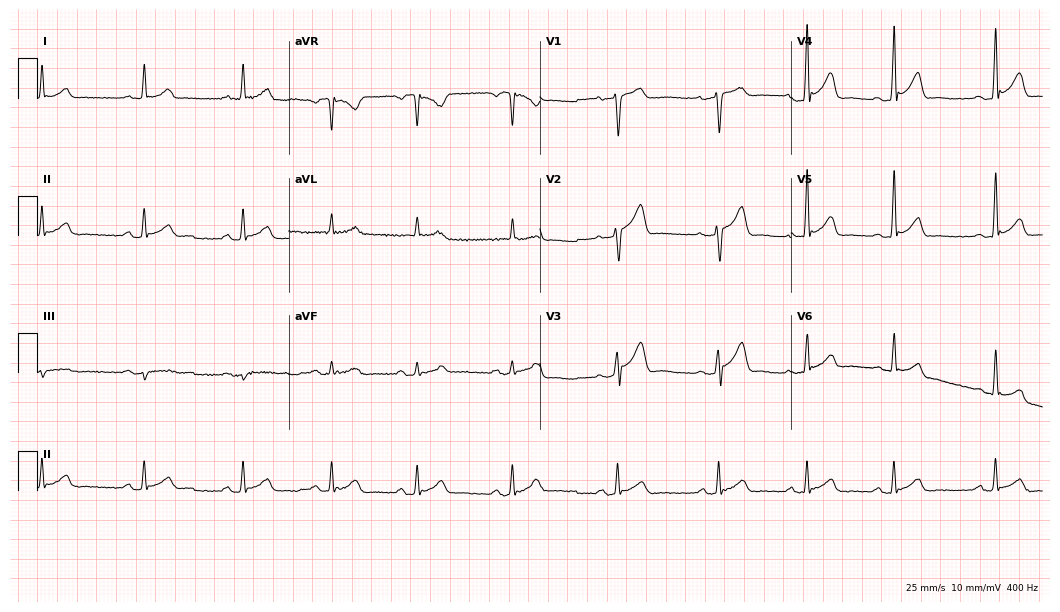
12-lead ECG from a male, 24 years old. Screened for six findings — first-degree AV block, right bundle branch block, left bundle branch block, sinus bradycardia, atrial fibrillation, sinus tachycardia — none is recorded. Findings outside these six are not listed.